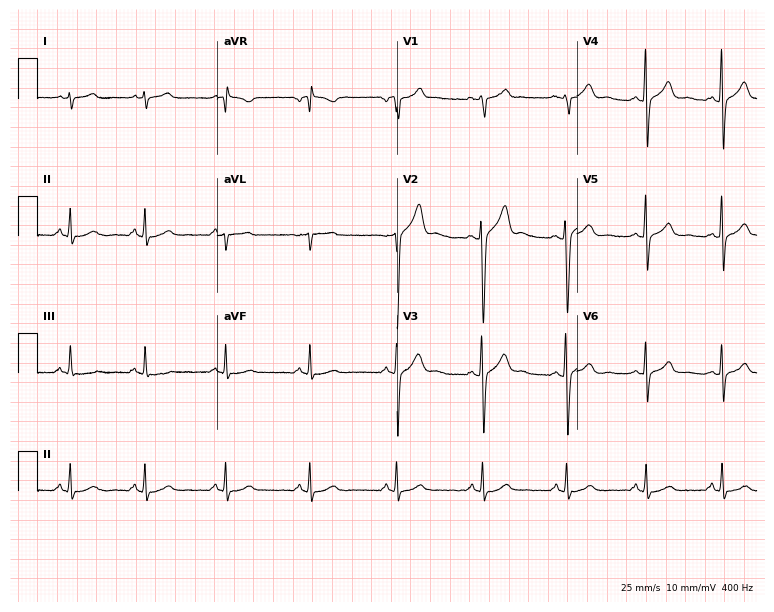
ECG (7.3-second recording at 400 Hz) — a 24-year-old man. Labelled as a normal ECG.